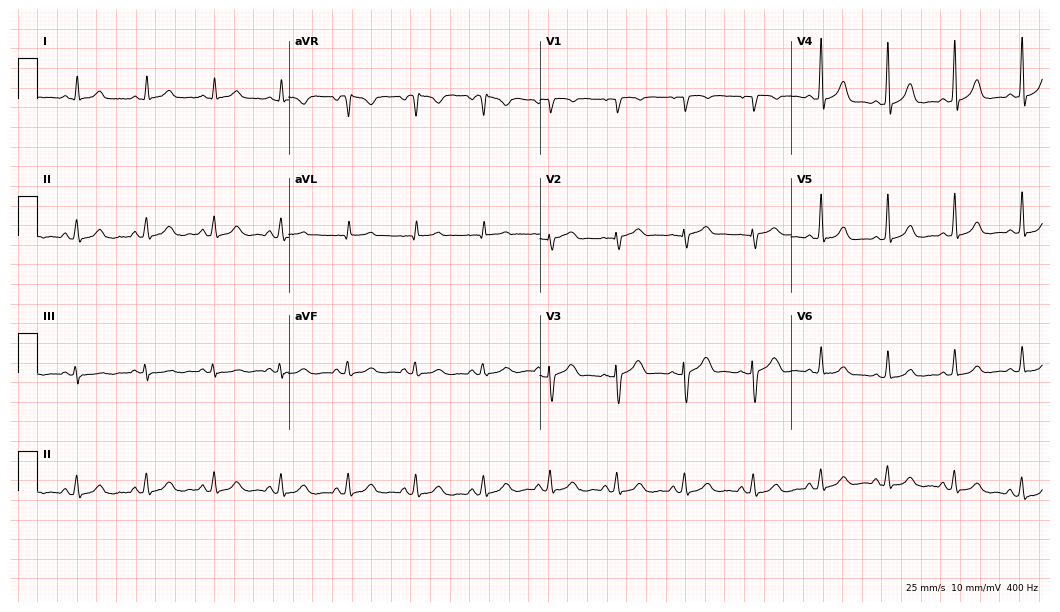
12-lead ECG from a 43-year-old woman. Labelled as a normal ECG.